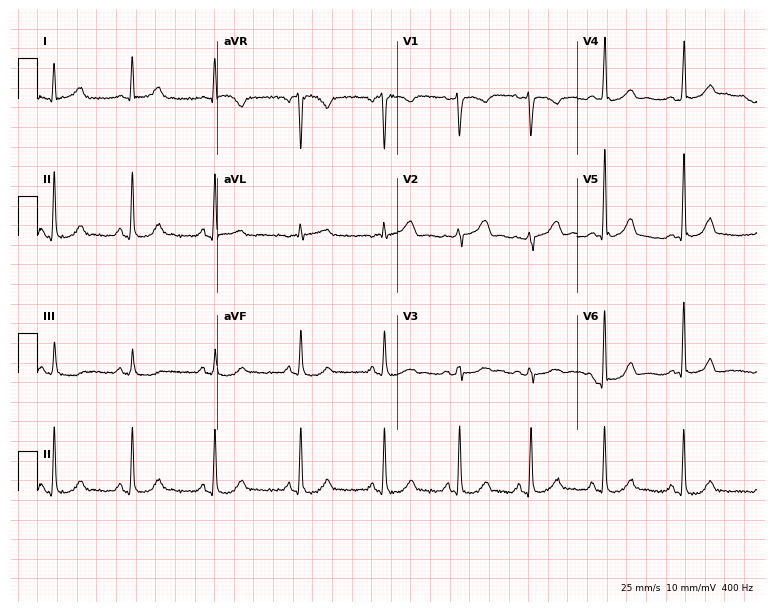
Electrocardiogram, a woman, 39 years old. Overall reading on record: normal ECG.